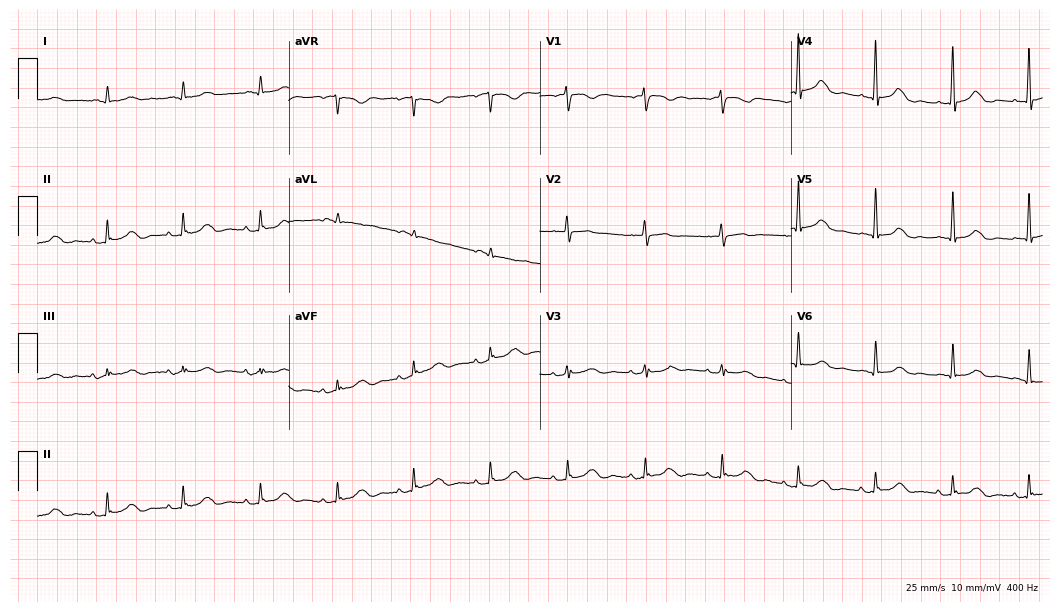
Standard 12-lead ECG recorded from a 79-year-old female (10.2-second recording at 400 Hz). Read as a normal ECG.